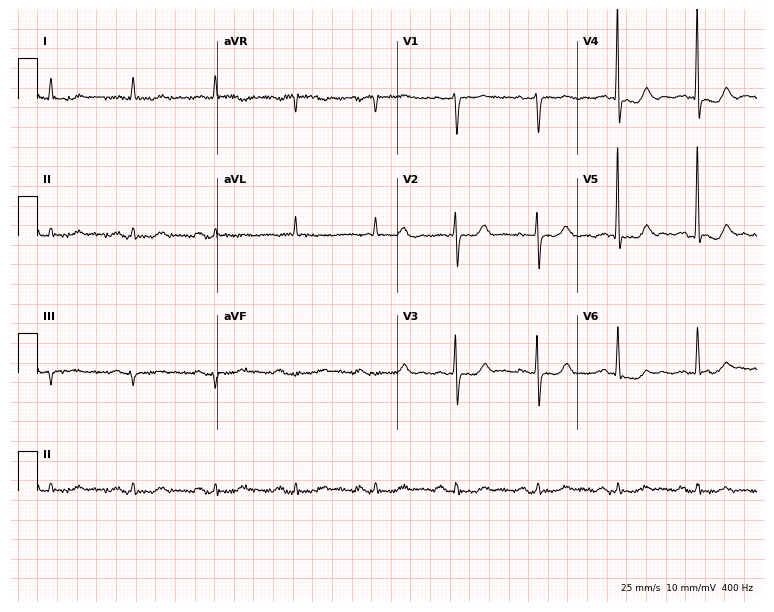
12-lead ECG from a 76-year-old woman. Screened for six findings — first-degree AV block, right bundle branch block (RBBB), left bundle branch block (LBBB), sinus bradycardia, atrial fibrillation (AF), sinus tachycardia — none is recorded. Only these six findings were labelled.